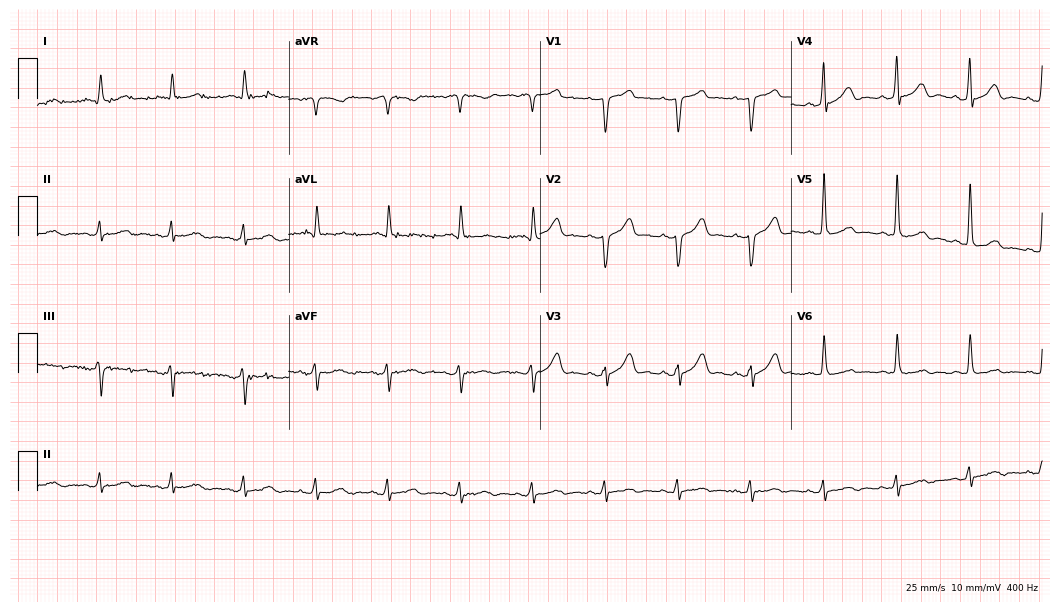
ECG (10.2-second recording at 400 Hz) — an 80-year-old male. Screened for six findings — first-degree AV block, right bundle branch block, left bundle branch block, sinus bradycardia, atrial fibrillation, sinus tachycardia — none is recorded.